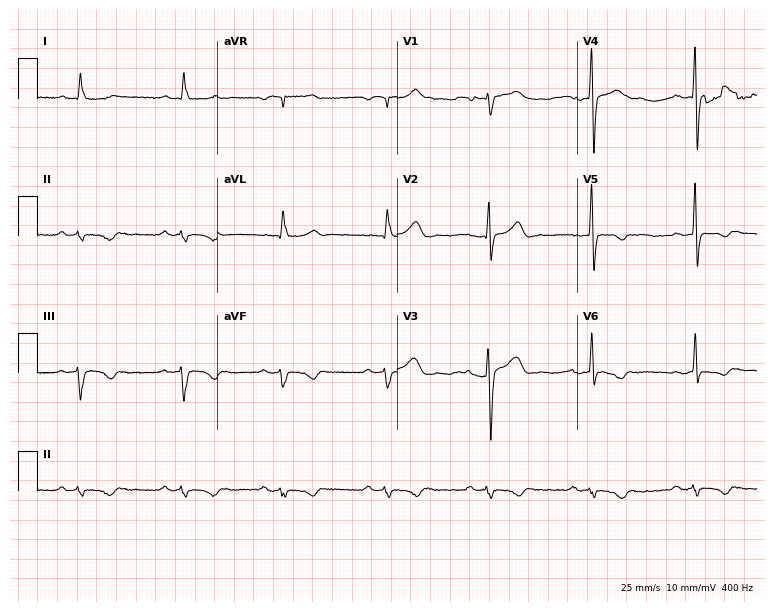
12-lead ECG from a female, 58 years old. Screened for six findings — first-degree AV block, right bundle branch block, left bundle branch block, sinus bradycardia, atrial fibrillation, sinus tachycardia — none is recorded.